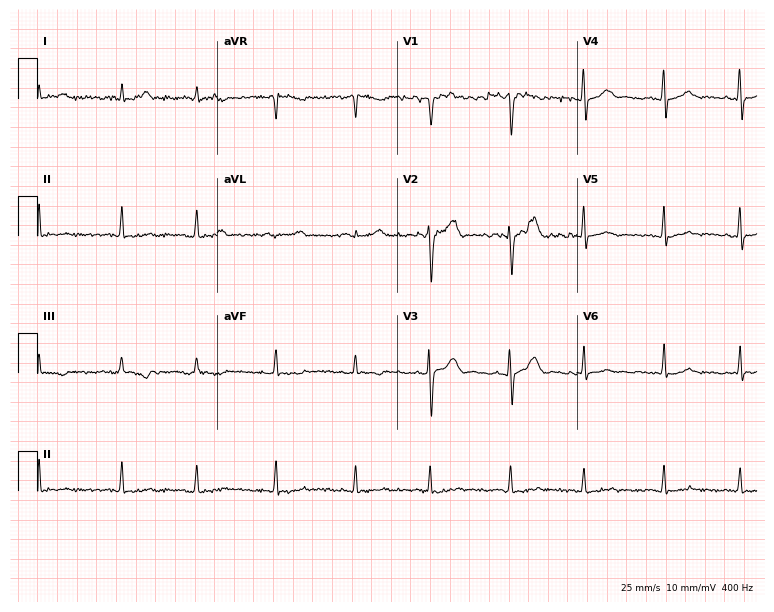
Electrocardiogram (7.3-second recording at 400 Hz), a man, 37 years old. Of the six screened findings (first-degree AV block, right bundle branch block, left bundle branch block, sinus bradycardia, atrial fibrillation, sinus tachycardia), none is recorded. Other findings, if any, are not listed.